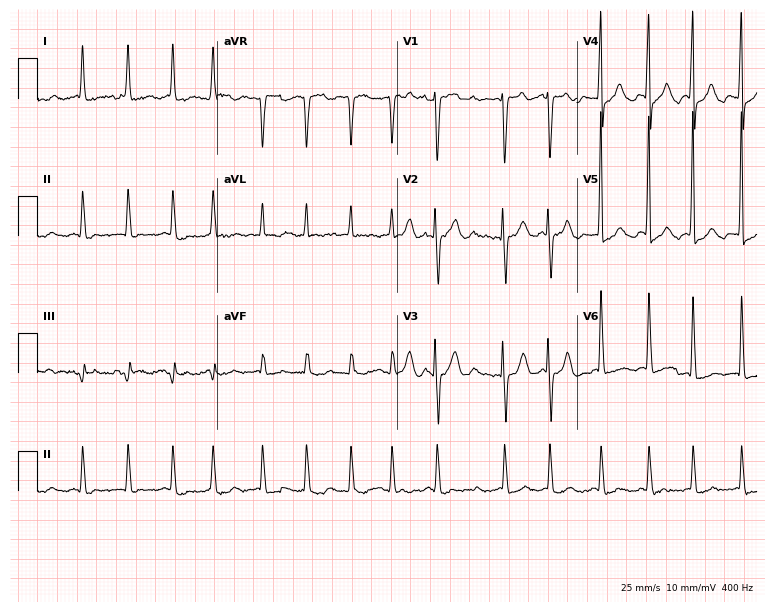
12-lead ECG (7.3-second recording at 400 Hz) from a female, 79 years old. Findings include atrial fibrillation.